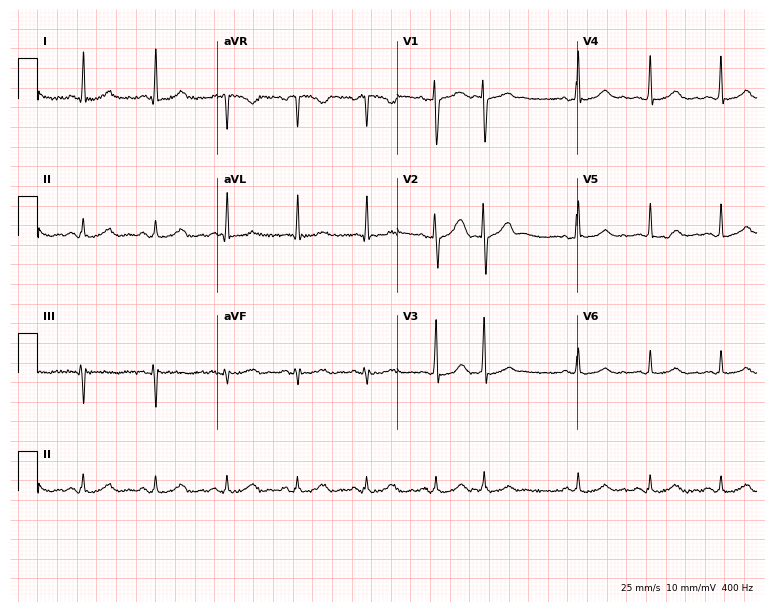
Electrocardiogram, a woman, 43 years old. Of the six screened findings (first-degree AV block, right bundle branch block, left bundle branch block, sinus bradycardia, atrial fibrillation, sinus tachycardia), none is recorded. Only these six findings were labelled.